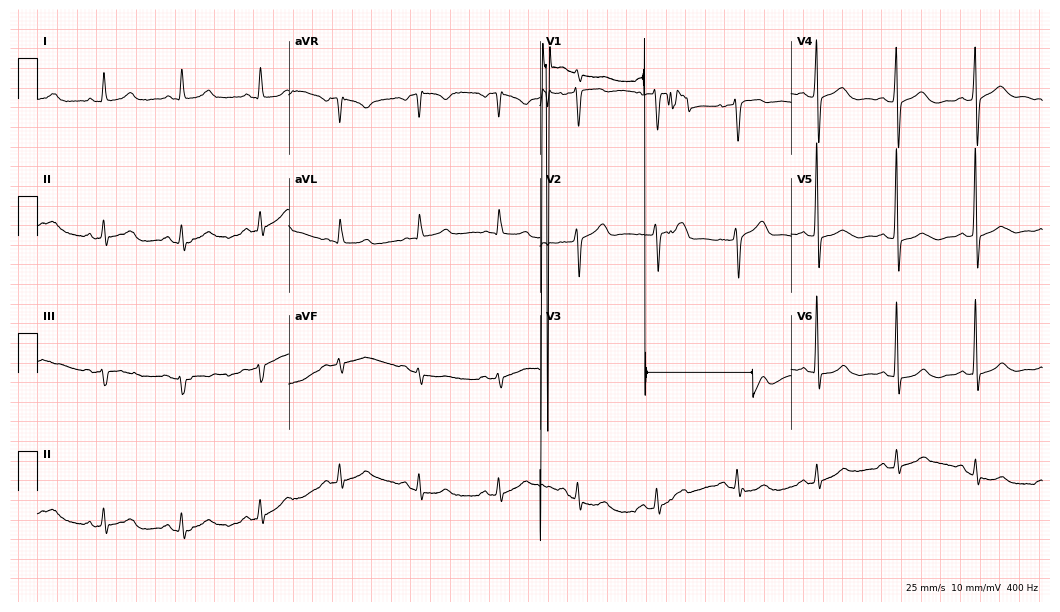
Electrocardiogram, a 67-year-old woman. Overall reading on record: normal ECG.